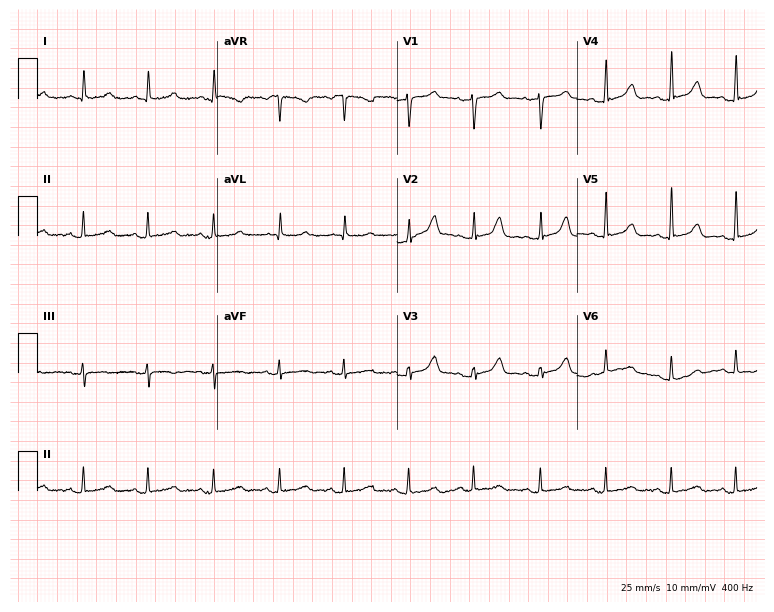
Resting 12-lead electrocardiogram (7.3-second recording at 400 Hz). Patient: a woman, 80 years old. None of these six findings is recorded: first-degree AV block, right bundle branch block, left bundle branch block, sinus bradycardia, atrial fibrillation, sinus tachycardia.